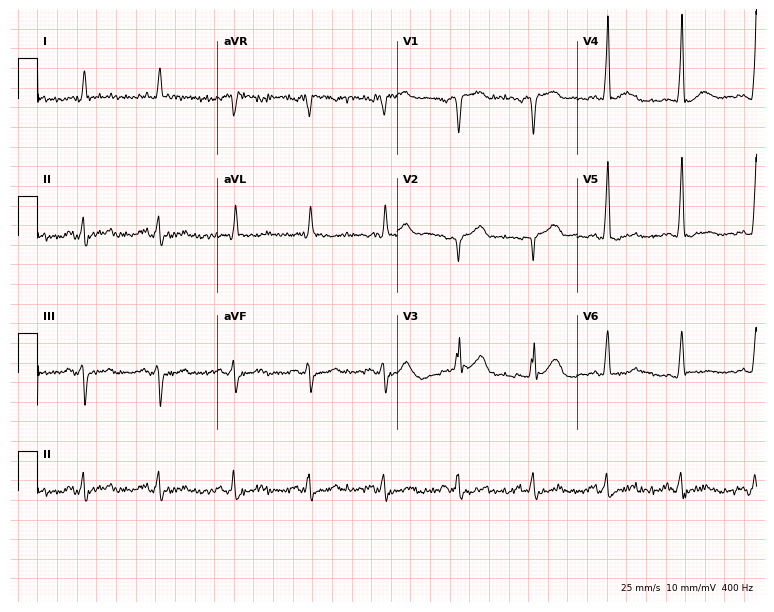
Resting 12-lead electrocardiogram. Patient: an 81-year-old male. None of these six findings is recorded: first-degree AV block, right bundle branch block, left bundle branch block, sinus bradycardia, atrial fibrillation, sinus tachycardia.